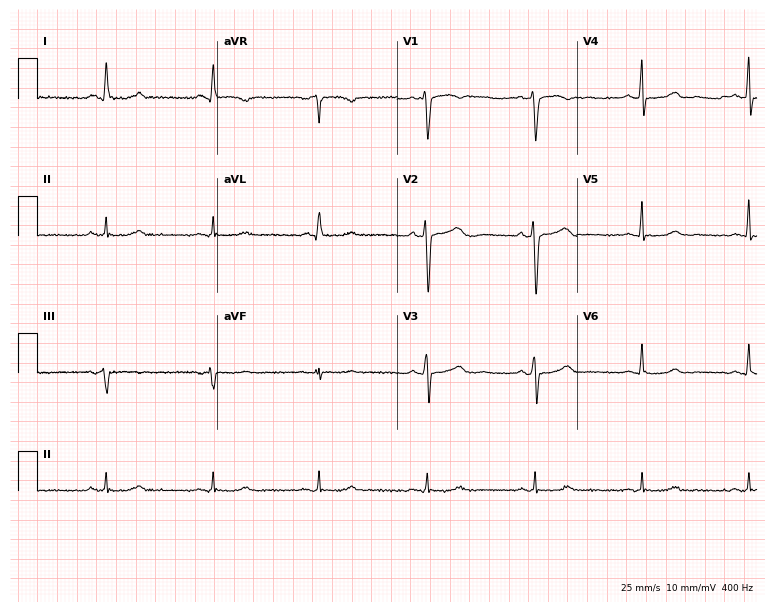
ECG (7.3-second recording at 400 Hz) — a 53-year-old female patient. Screened for six findings — first-degree AV block, right bundle branch block (RBBB), left bundle branch block (LBBB), sinus bradycardia, atrial fibrillation (AF), sinus tachycardia — none is recorded.